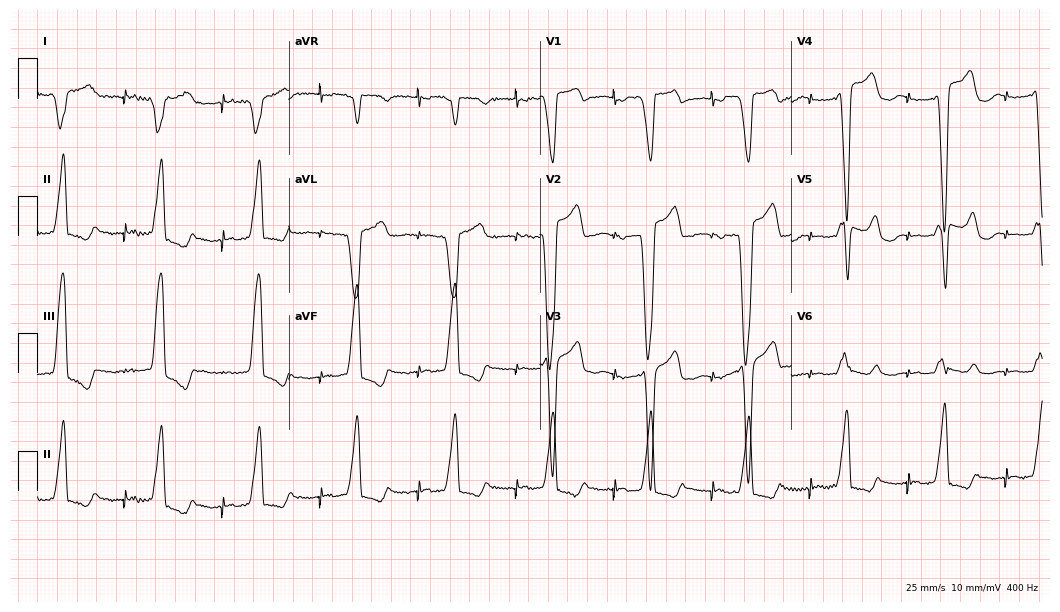
Standard 12-lead ECG recorded from a 38-year-old man. None of these six findings is recorded: first-degree AV block, right bundle branch block, left bundle branch block, sinus bradycardia, atrial fibrillation, sinus tachycardia.